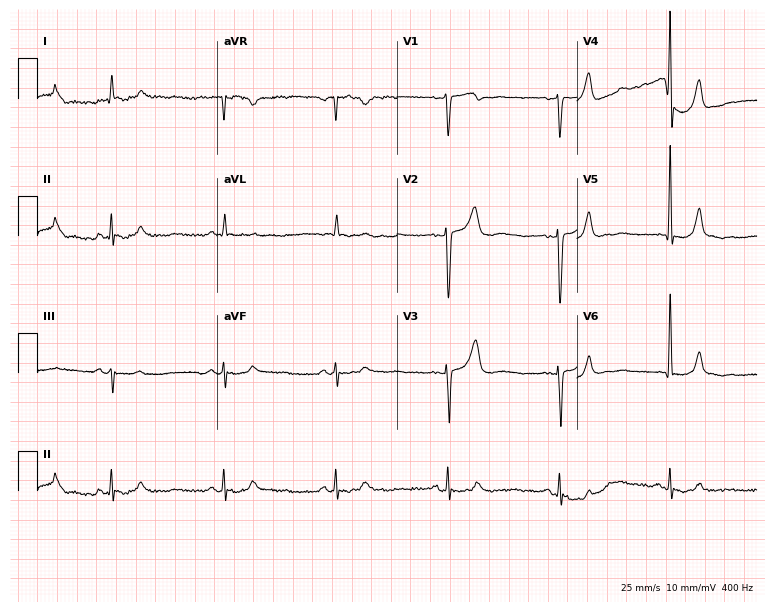
ECG — a man, 70 years old. Screened for six findings — first-degree AV block, right bundle branch block, left bundle branch block, sinus bradycardia, atrial fibrillation, sinus tachycardia — none is recorded. Findings outside these six are not listed.